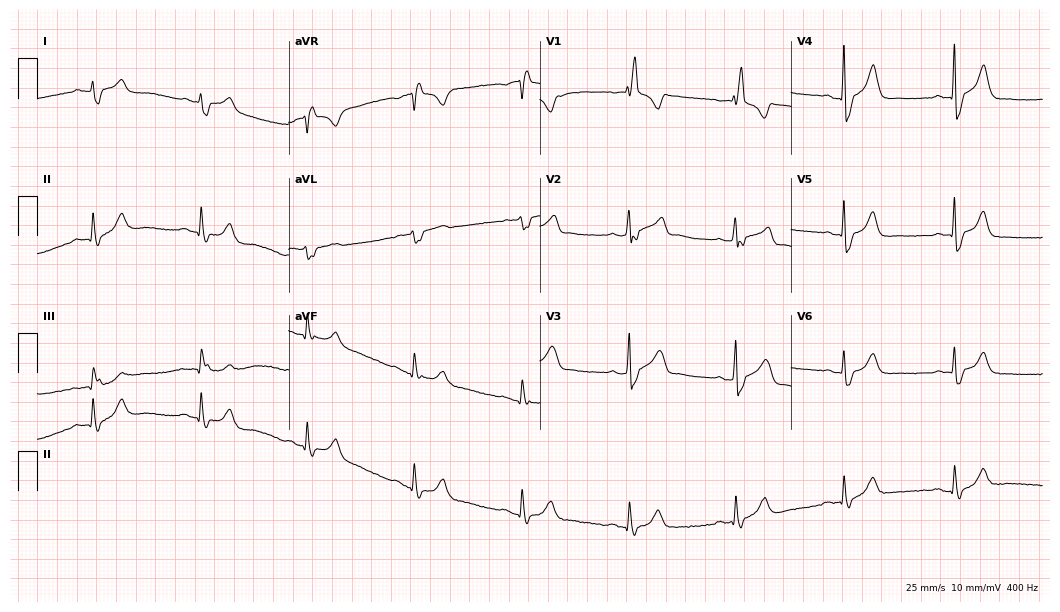
12-lead ECG (10.2-second recording at 400 Hz) from a male, 84 years old. Screened for six findings — first-degree AV block, right bundle branch block, left bundle branch block, sinus bradycardia, atrial fibrillation, sinus tachycardia — none is recorded.